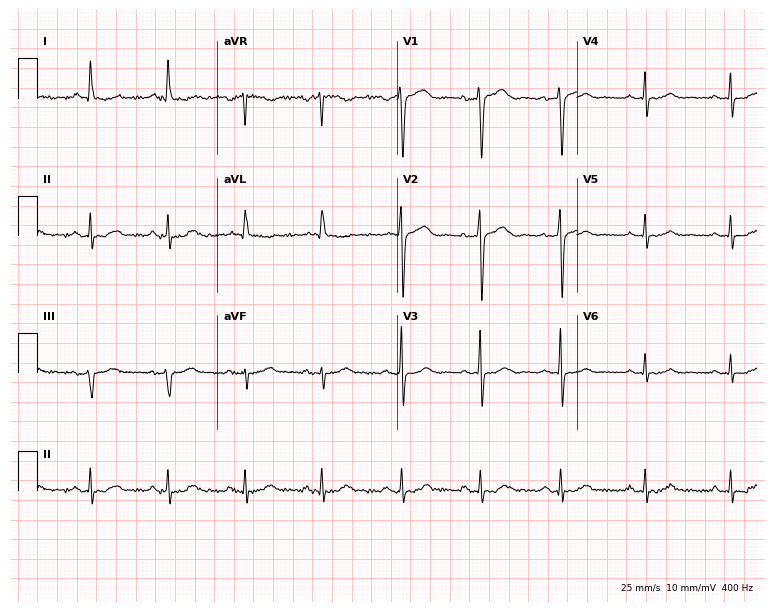
12-lead ECG (7.3-second recording at 400 Hz) from a female patient, 53 years old. Labelled as a normal ECG.